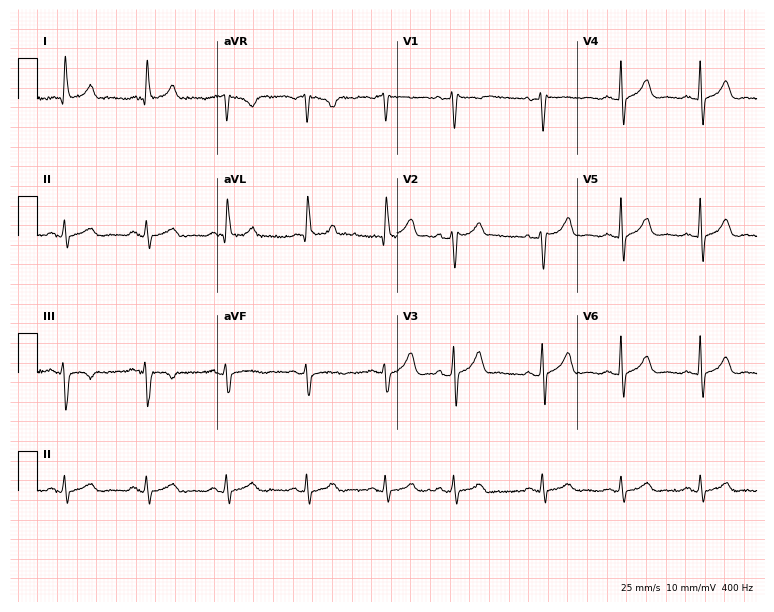
12-lead ECG from a man, 69 years old. Recorded interpretation: within normal limits.